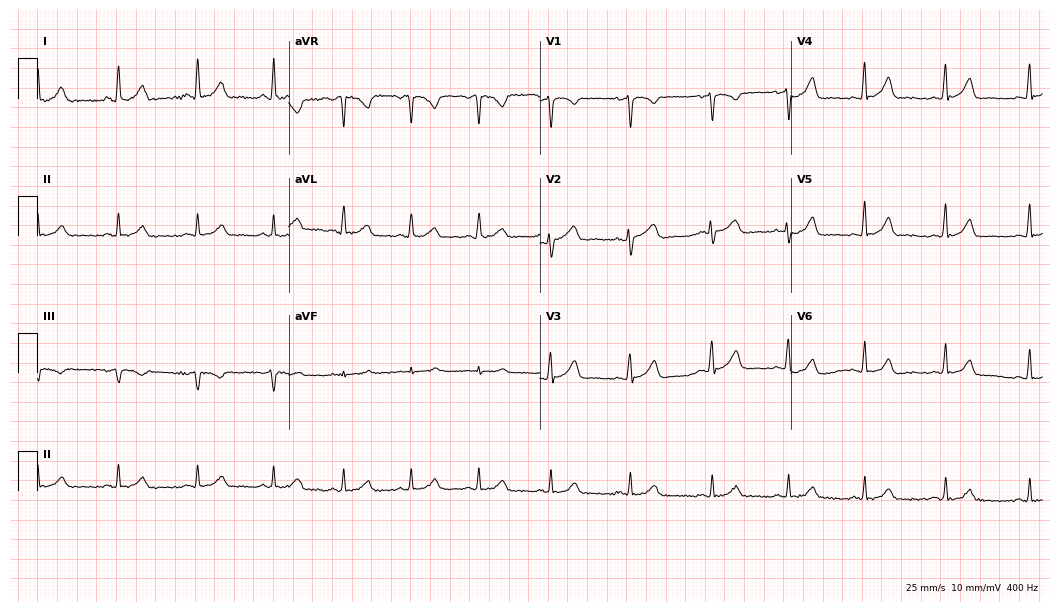
Electrocardiogram, a 35-year-old female patient. Overall reading on record: normal ECG.